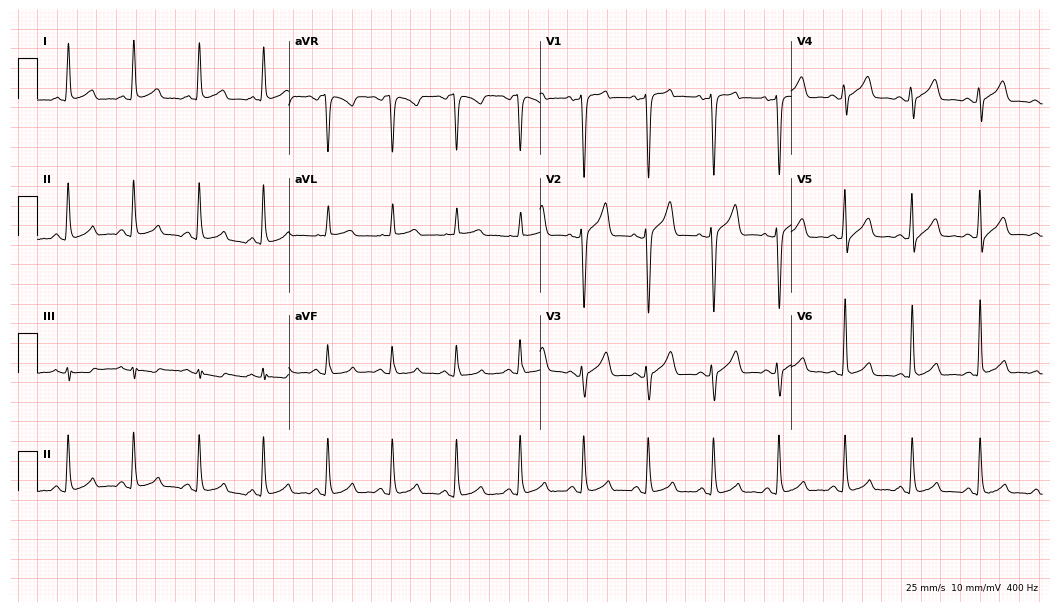
12-lead ECG from a 59-year-old male patient (10.2-second recording at 400 Hz). Recorded interpretation: within normal limits.